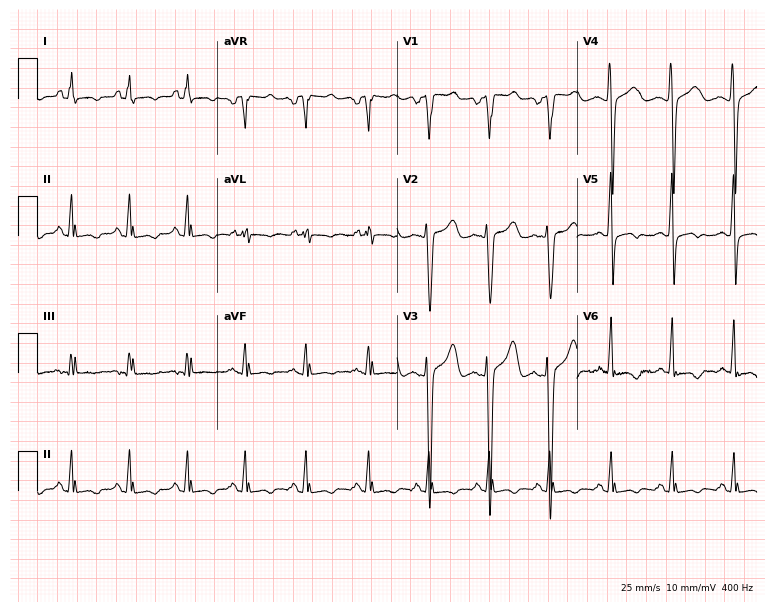
Standard 12-lead ECG recorded from a 31-year-old woman (7.3-second recording at 400 Hz). None of these six findings is recorded: first-degree AV block, right bundle branch block, left bundle branch block, sinus bradycardia, atrial fibrillation, sinus tachycardia. Only these six findings were labelled.